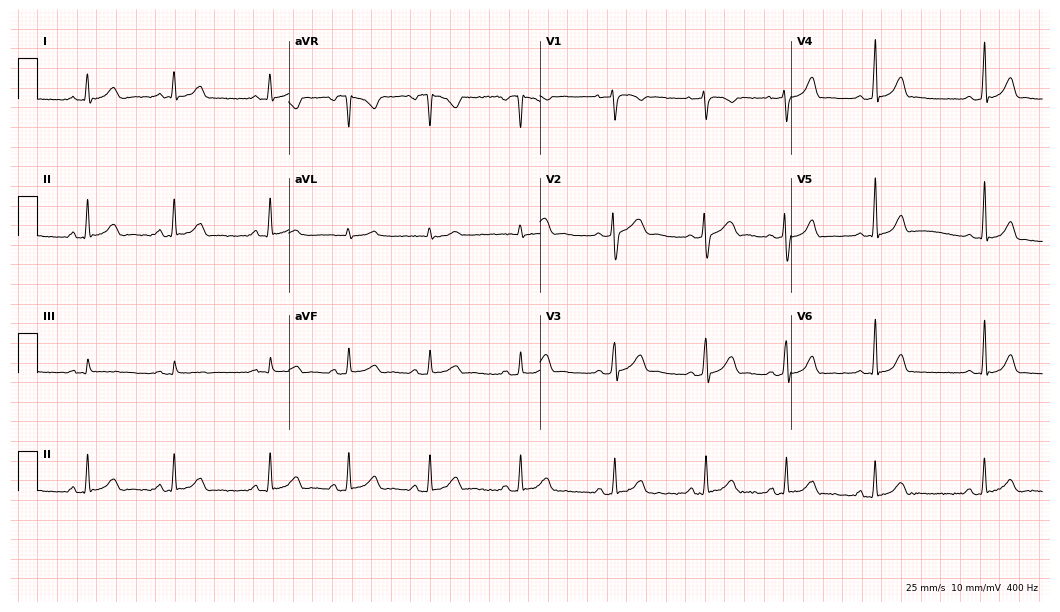
Resting 12-lead electrocardiogram (10.2-second recording at 400 Hz). Patient: a 31-year-old woman. Read as a normal ECG.